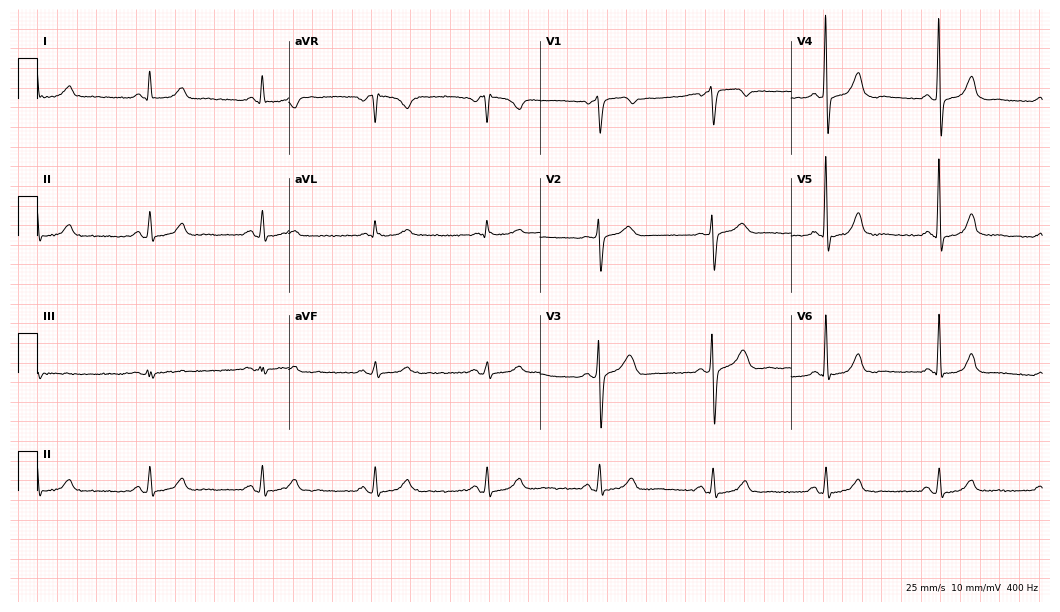
ECG (10.2-second recording at 400 Hz) — a 65-year-old male patient. Labelled as a normal ECG.